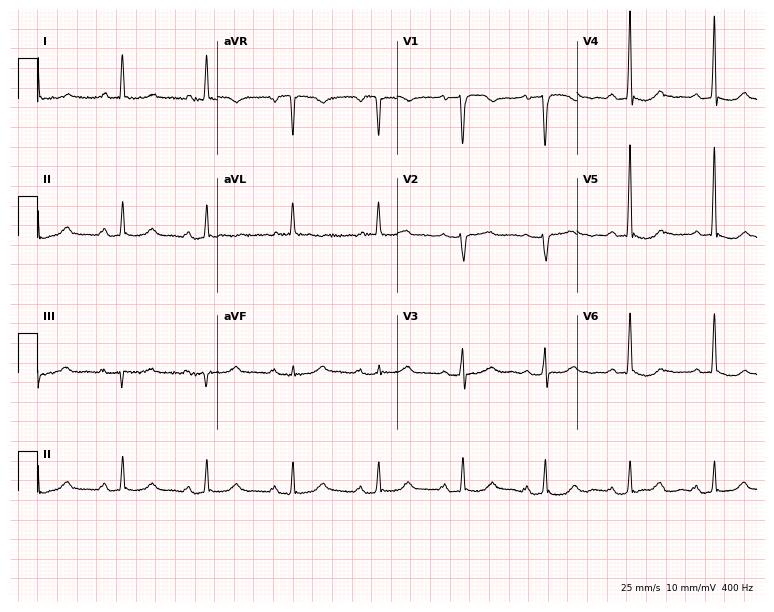
ECG — a 72-year-old woman. Findings include first-degree AV block.